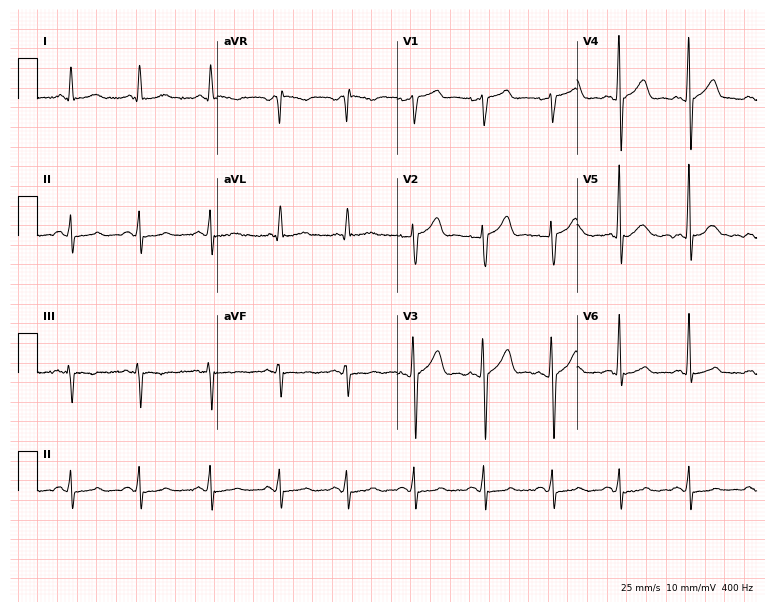
Standard 12-lead ECG recorded from a 42-year-old man. None of these six findings is recorded: first-degree AV block, right bundle branch block (RBBB), left bundle branch block (LBBB), sinus bradycardia, atrial fibrillation (AF), sinus tachycardia.